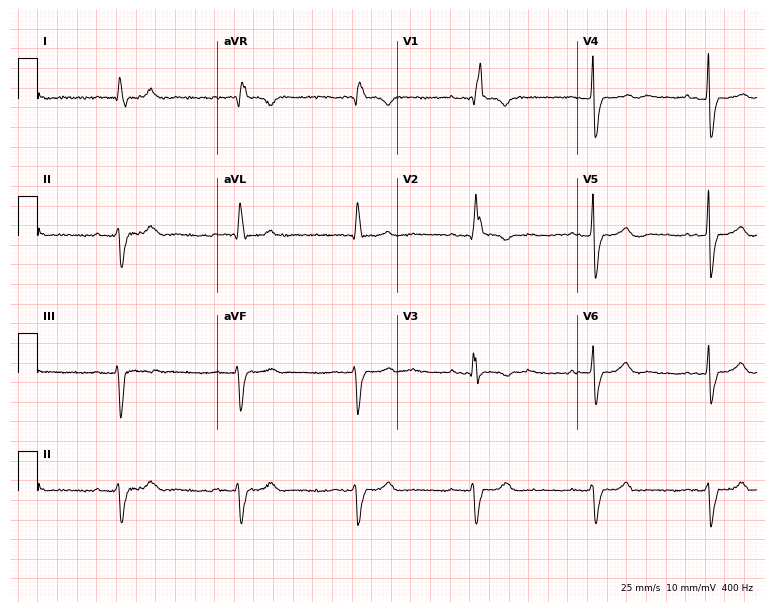
Electrocardiogram, a male, 84 years old. Interpretation includes first-degree AV block, right bundle branch block, sinus bradycardia (a sinus rate of 50 beats per minute or less).